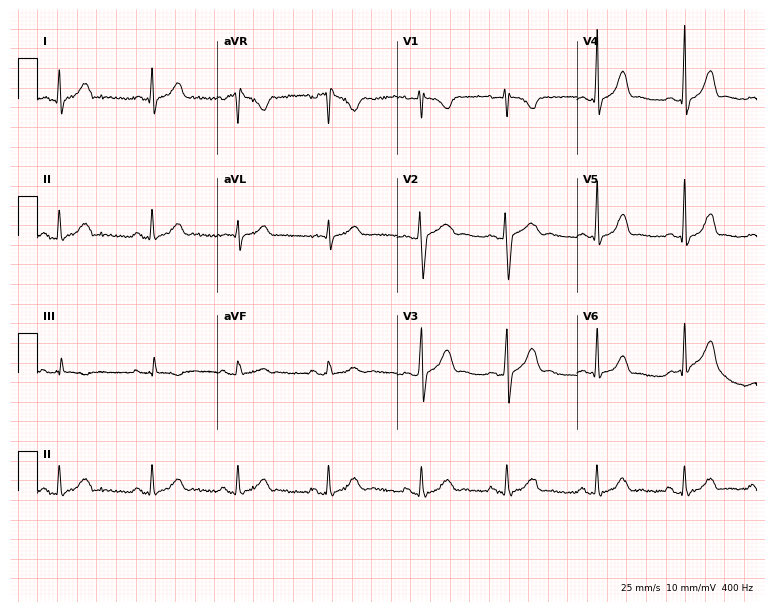
Standard 12-lead ECG recorded from a 27-year-old woman. None of these six findings is recorded: first-degree AV block, right bundle branch block, left bundle branch block, sinus bradycardia, atrial fibrillation, sinus tachycardia.